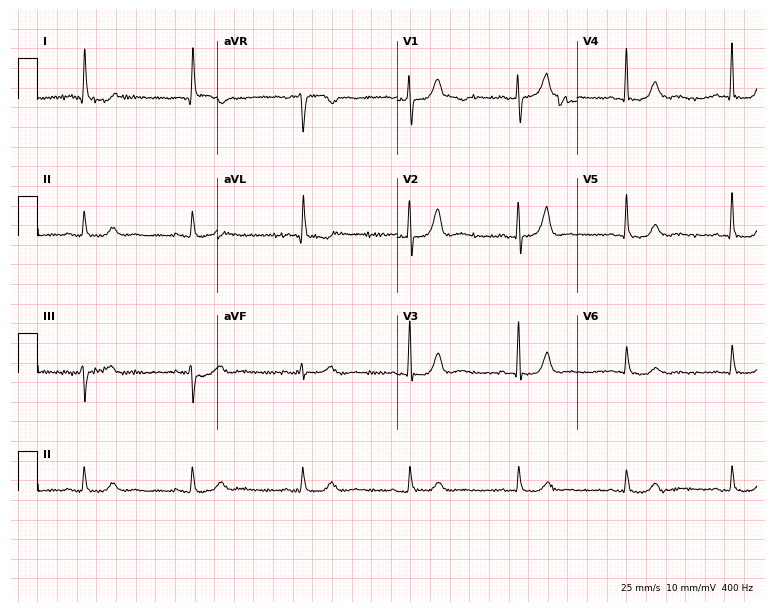
Resting 12-lead electrocardiogram. Patient: a female, 71 years old. None of these six findings is recorded: first-degree AV block, right bundle branch block, left bundle branch block, sinus bradycardia, atrial fibrillation, sinus tachycardia.